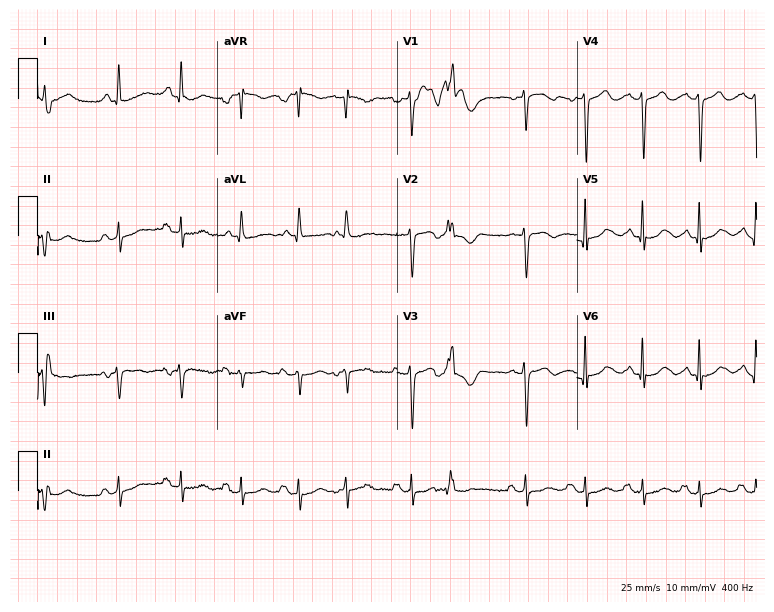
Electrocardiogram, an 82-year-old woman. Interpretation includes sinus tachycardia (a sinus rate of 100 beats per minute or more).